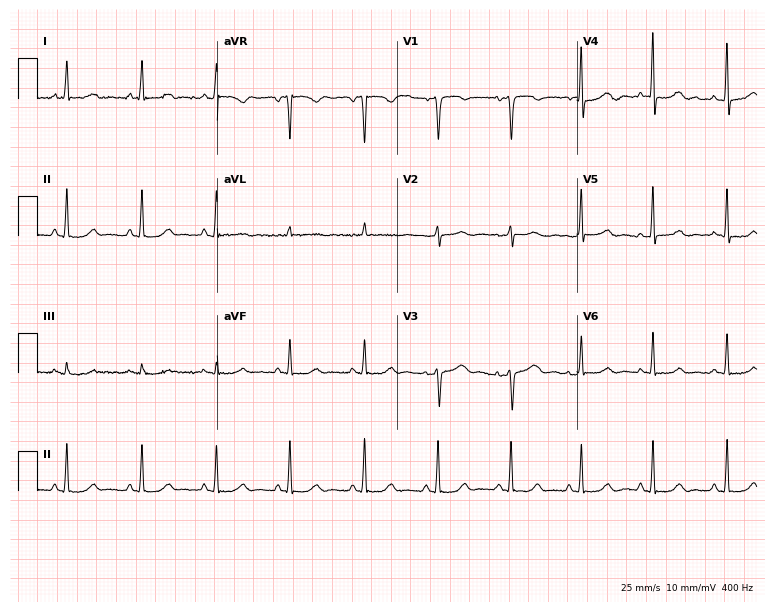
12-lead ECG from a female, 43 years old. Labelled as a normal ECG.